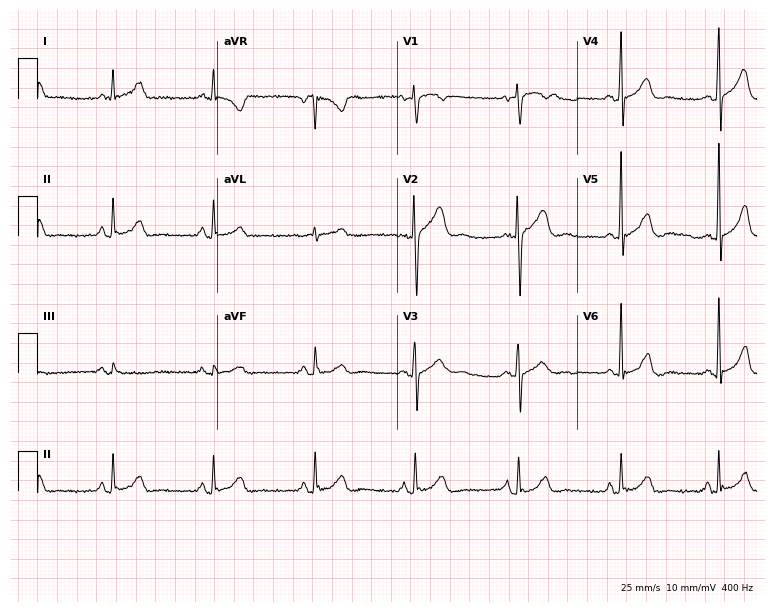
Standard 12-lead ECG recorded from a 60-year-old female patient (7.3-second recording at 400 Hz). Read as a normal ECG.